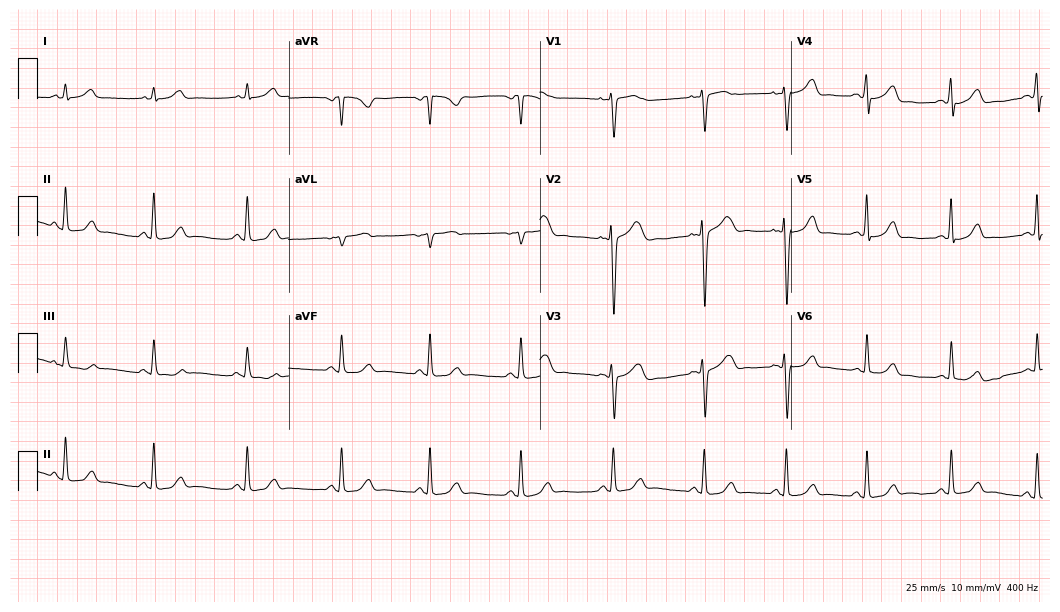
Resting 12-lead electrocardiogram (10.2-second recording at 400 Hz). Patient: a 48-year-old female. Read as a normal ECG.